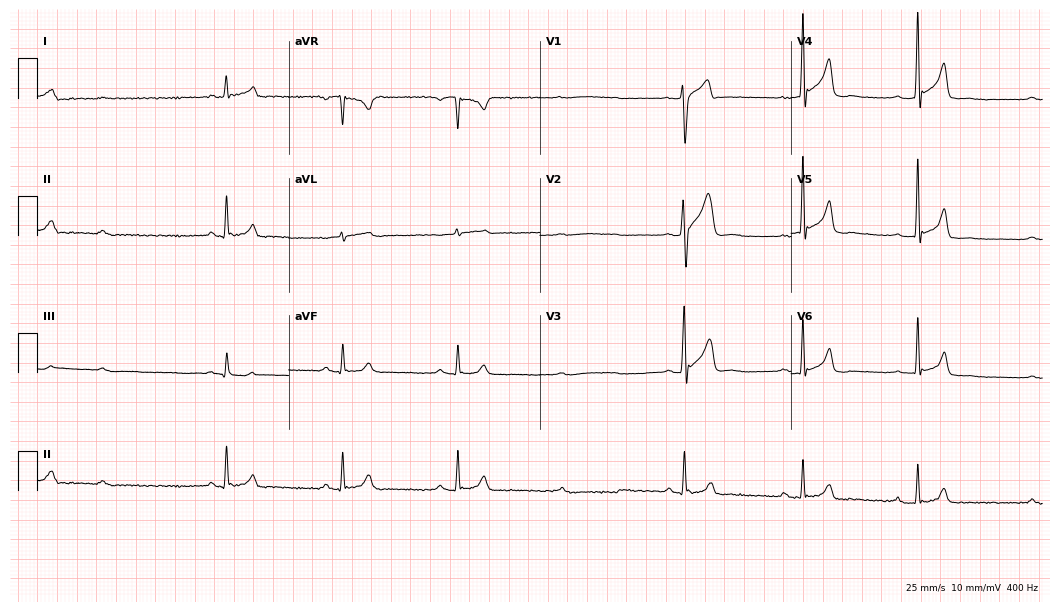
ECG (10.2-second recording at 400 Hz) — a male, 27 years old. Screened for six findings — first-degree AV block, right bundle branch block, left bundle branch block, sinus bradycardia, atrial fibrillation, sinus tachycardia — none is recorded. Only these six findings were labelled.